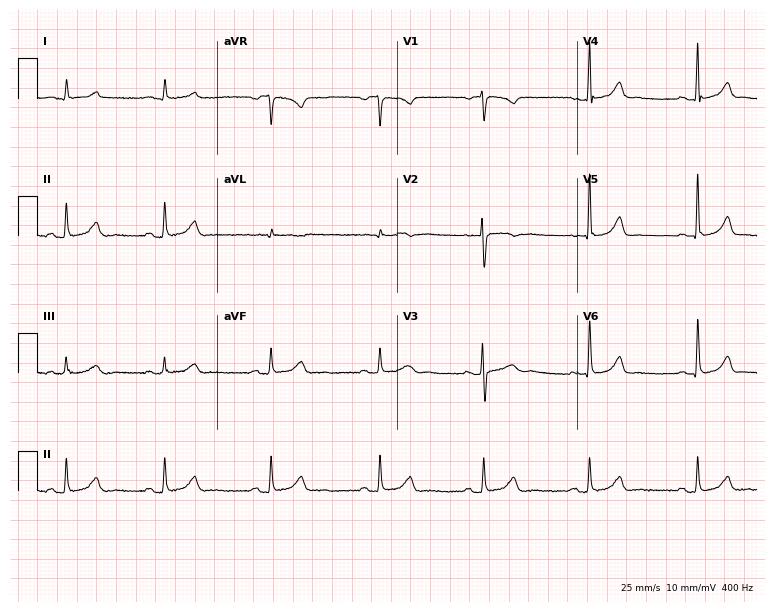
Electrocardiogram (7.3-second recording at 400 Hz), a 40-year-old female. Of the six screened findings (first-degree AV block, right bundle branch block (RBBB), left bundle branch block (LBBB), sinus bradycardia, atrial fibrillation (AF), sinus tachycardia), none is recorded.